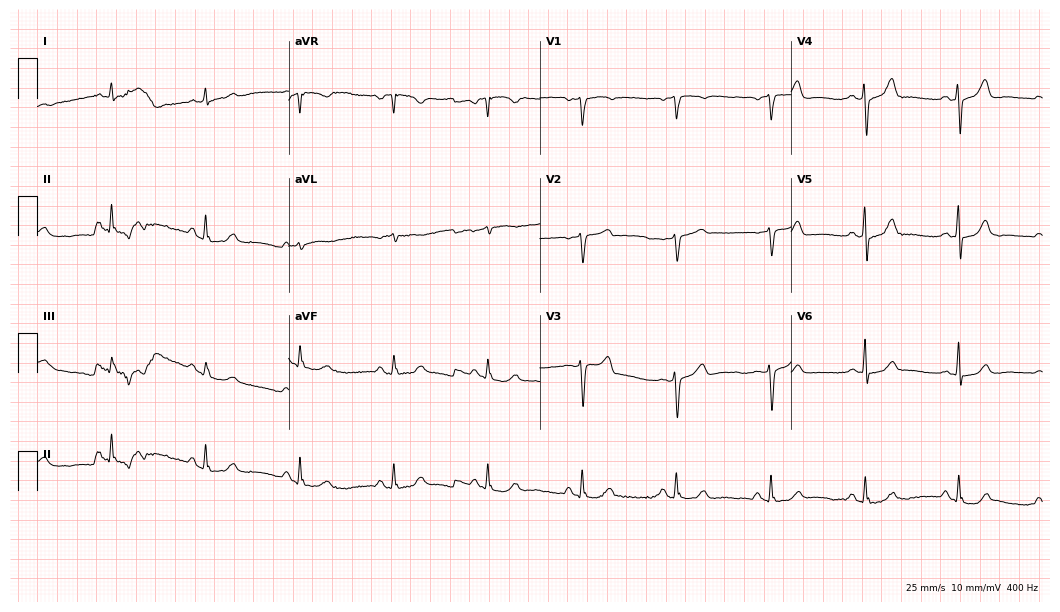
Standard 12-lead ECG recorded from a male, 83 years old. Read as a normal ECG.